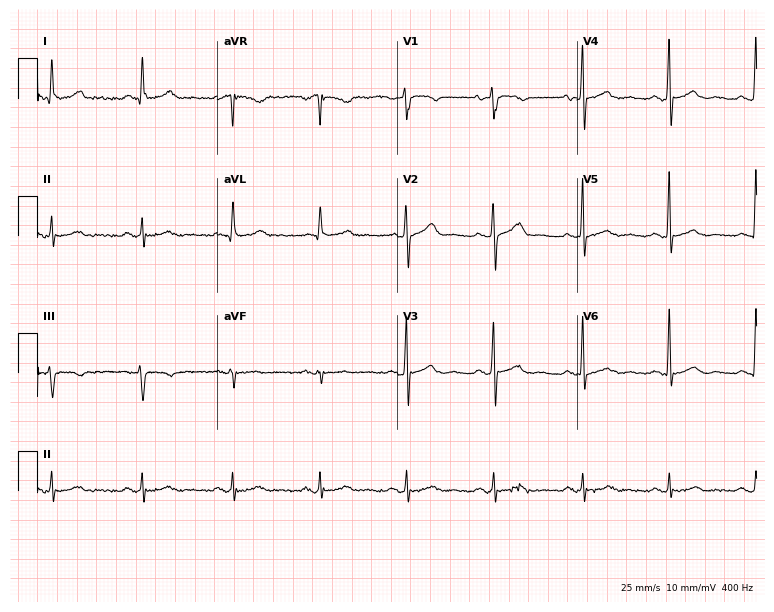
12-lead ECG (7.3-second recording at 400 Hz) from a male patient, 66 years old. Screened for six findings — first-degree AV block, right bundle branch block, left bundle branch block, sinus bradycardia, atrial fibrillation, sinus tachycardia — none is recorded.